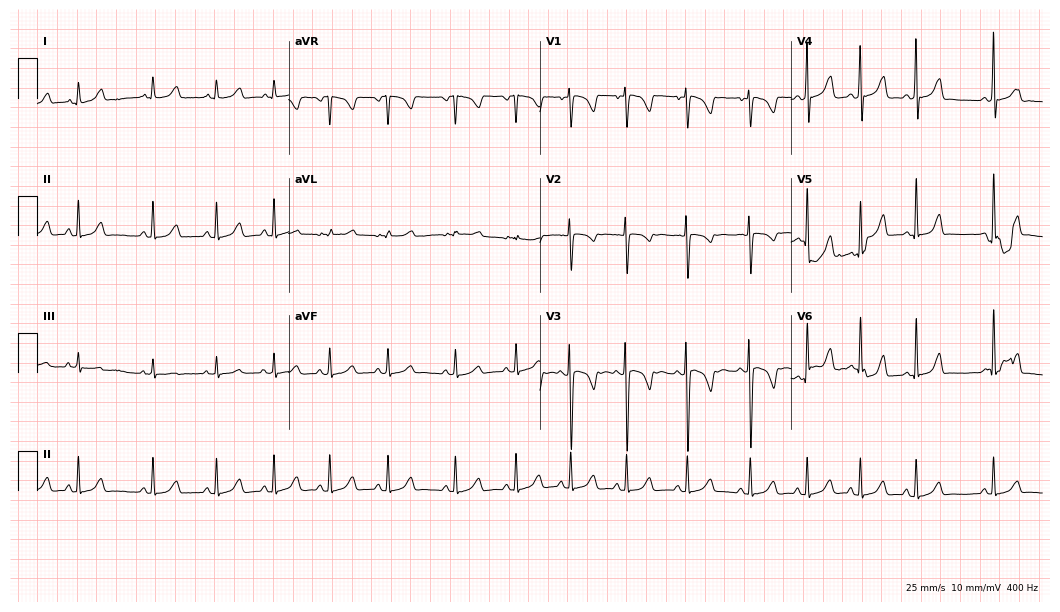
Standard 12-lead ECG recorded from a 63-year-old female. Read as a normal ECG.